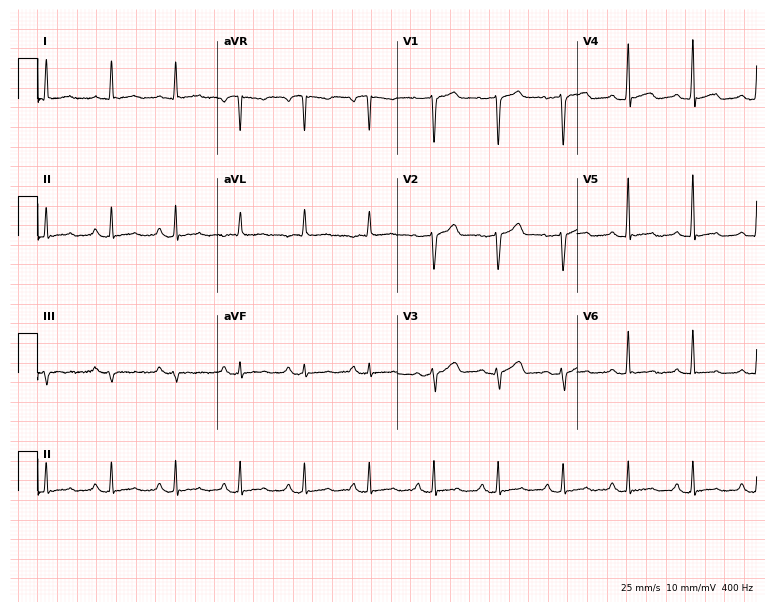
Standard 12-lead ECG recorded from a 61-year-old man (7.3-second recording at 400 Hz). None of these six findings is recorded: first-degree AV block, right bundle branch block (RBBB), left bundle branch block (LBBB), sinus bradycardia, atrial fibrillation (AF), sinus tachycardia. Only these six findings were labelled.